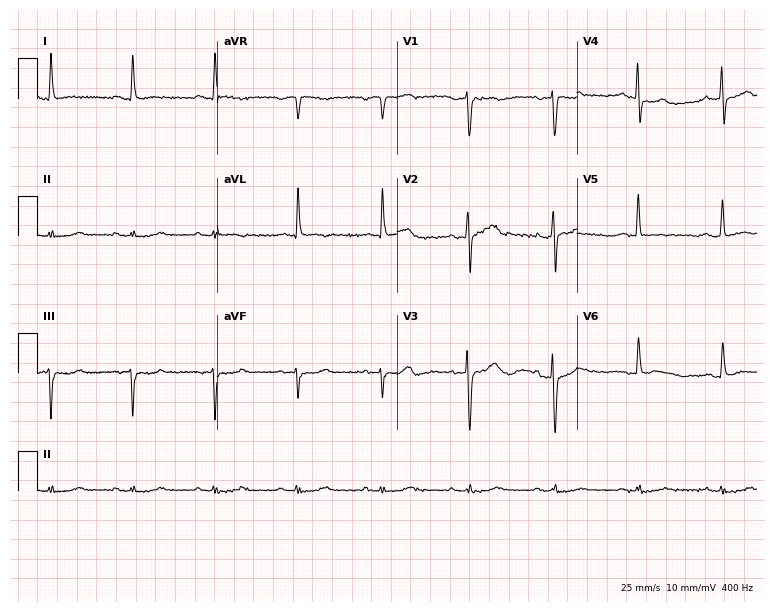
Resting 12-lead electrocardiogram (7.3-second recording at 400 Hz). Patient: a man, 79 years old. None of these six findings is recorded: first-degree AV block, right bundle branch block (RBBB), left bundle branch block (LBBB), sinus bradycardia, atrial fibrillation (AF), sinus tachycardia.